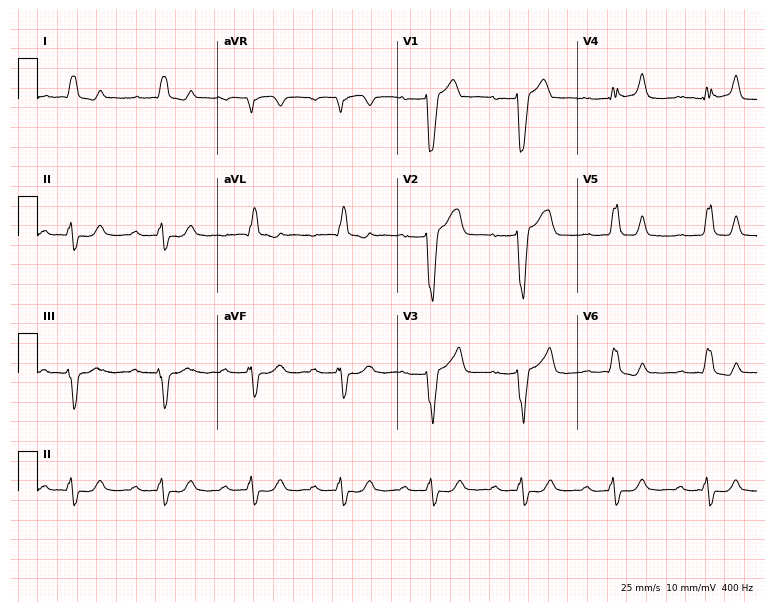
Standard 12-lead ECG recorded from a male, 82 years old (7.3-second recording at 400 Hz). The tracing shows first-degree AV block, left bundle branch block (LBBB).